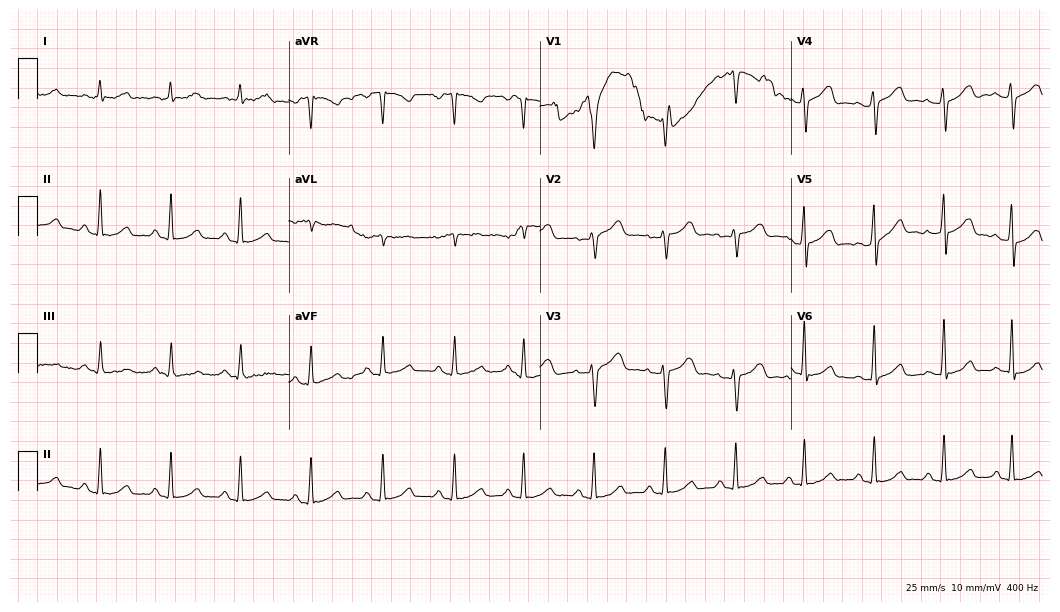
Electrocardiogram (10.2-second recording at 400 Hz), a female, 47 years old. Of the six screened findings (first-degree AV block, right bundle branch block, left bundle branch block, sinus bradycardia, atrial fibrillation, sinus tachycardia), none is recorded. Other findings, if any, are not listed.